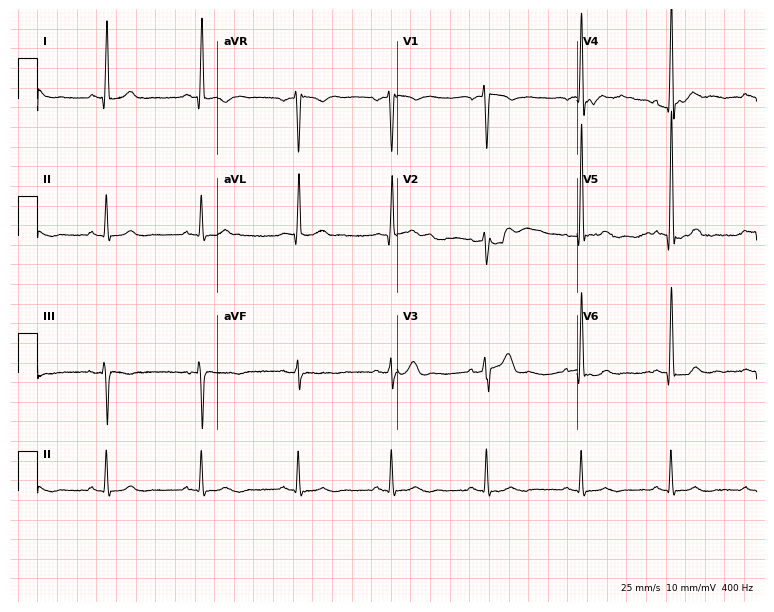
12-lead ECG from a 50-year-old man. No first-degree AV block, right bundle branch block (RBBB), left bundle branch block (LBBB), sinus bradycardia, atrial fibrillation (AF) or sinus tachycardia recorded for this tracing.